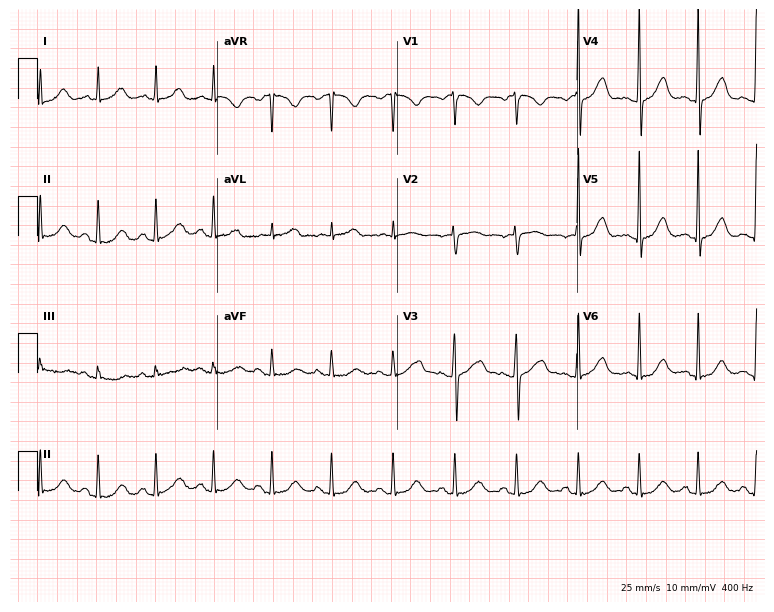
ECG (7.3-second recording at 400 Hz) — a female patient, 32 years old. Screened for six findings — first-degree AV block, right bundle branch block (RBBB), left bundle branch block (LBBB), sinus bradycardia, atrial fibrillation (AF), sinus tachycardia — none is recorded.